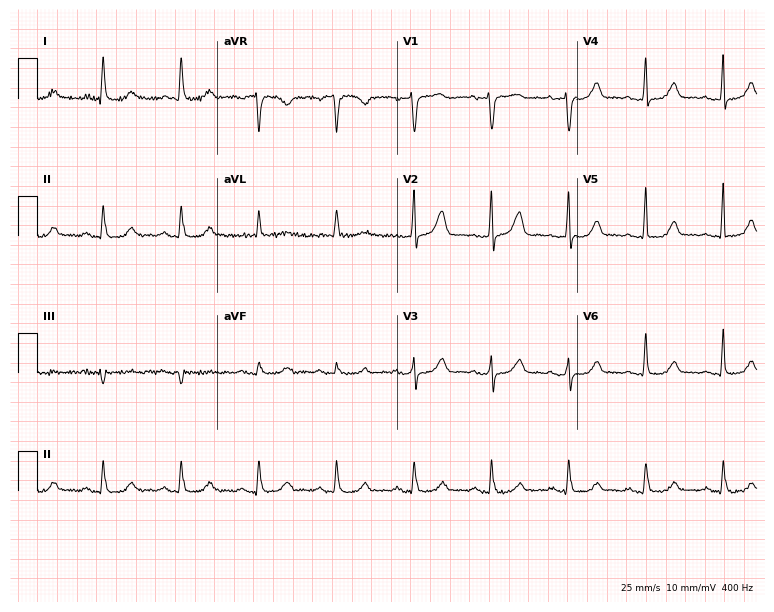
12-lead ECG (7.3-second recording at 400 Hz) from a 78-year-old woman. Labelled as a normal ECG.